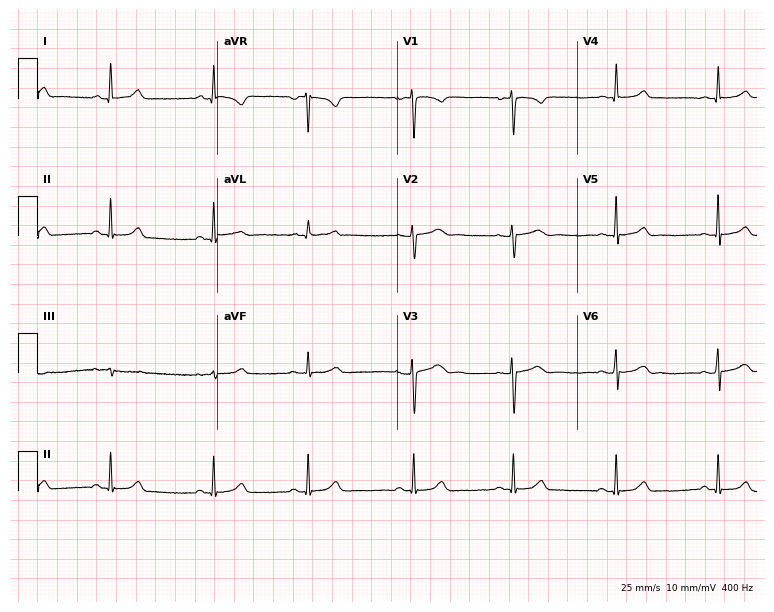
12-lead ECG from a female patient, 23 years old. Recorded interpretation: within normal limits.